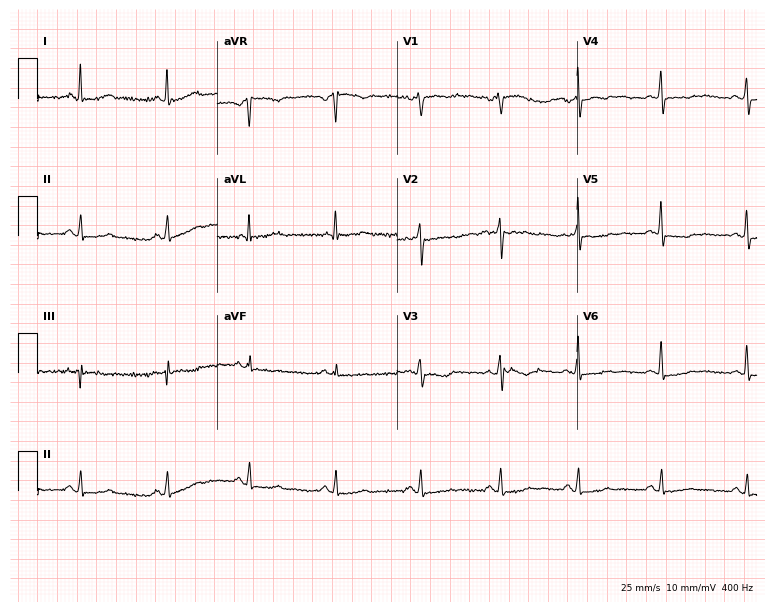
12-lead ECG from a 38-year-old woman. Screened for six findings — first-degree AV block, right bundle branch block, left bundle branch block, sinus bradycardia, atrial fibrillation, sinus tachycardia — none is recorded. Only these six findings were labelled.